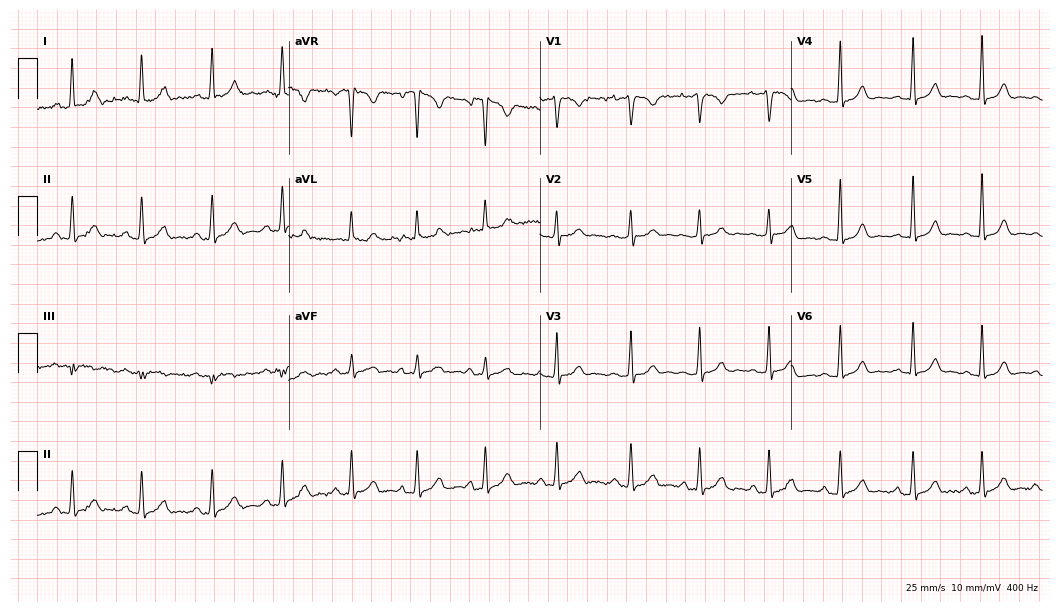
12-lead ECG from a 25-year-old female. Labelled as a normal ECG.